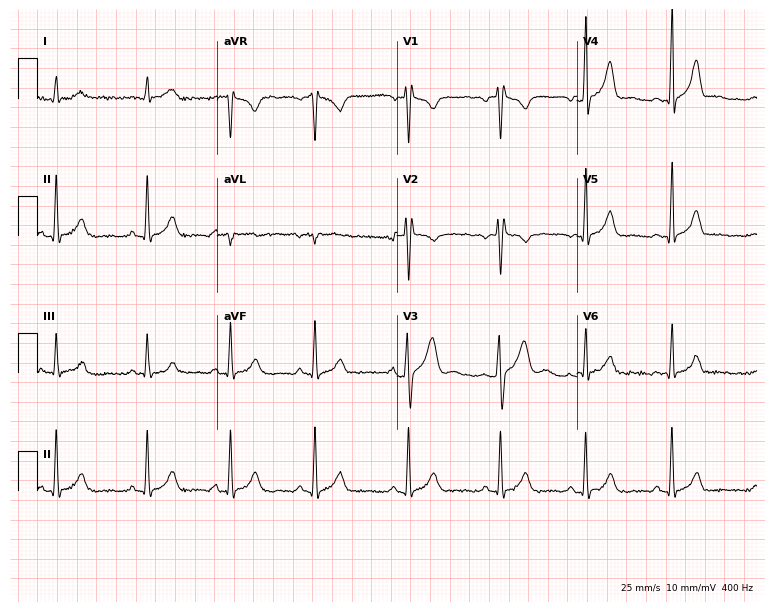
12-lead ECG from a 40-year-old man. No first-degree AV block, right bundle branch block, left bundle branch block, sinus bradycardia, atrial fibrillation or sinus tachycardia recorded for this tracing.